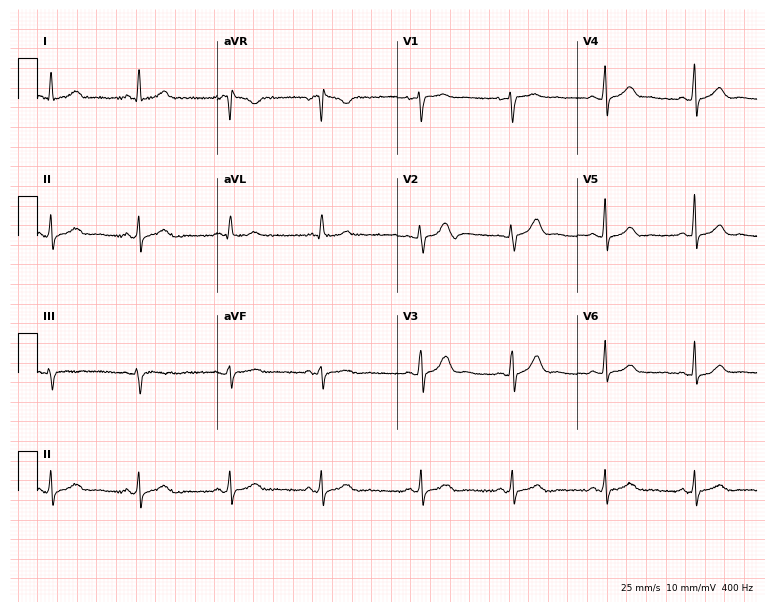
12-lead ECG from a 39-year-old woman (7.3-second recording at 400 Hz). No first-degree AV block, right bundle branch block, left bundle branch block, sinus bradycardia, atrial fibrillation or sinus tachycardia recorded for this tracing. Other findings, if any, are not listed.